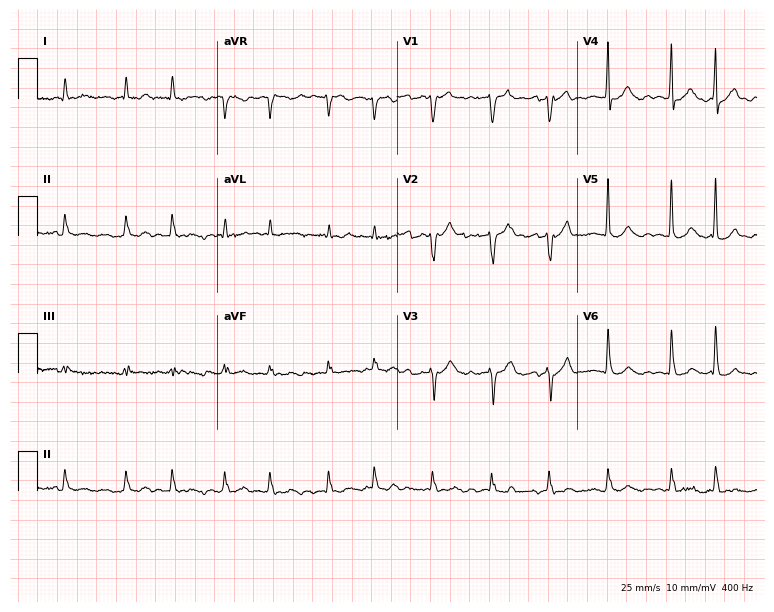
Standard 12-lead ECG recorded from a woman, 73 years old (7.3-second recording at 400 Hz). The tracing shows atrial fibrillation.